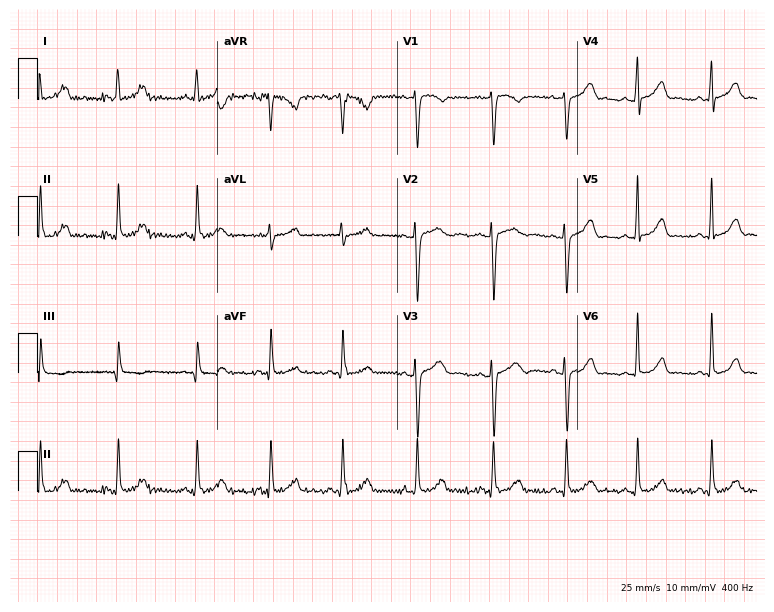
12-lead ECG from a female patient, 23 years old. Recorded interpretation: within normal limits.